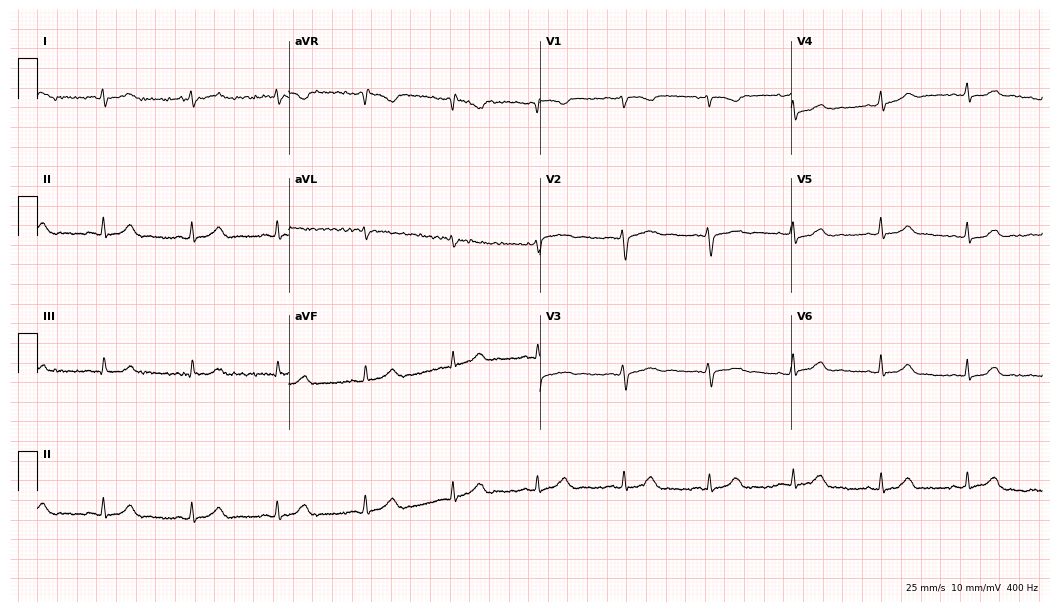
12-lead ECG from a 35-year-old female patient. Labelled as a normal ECG.